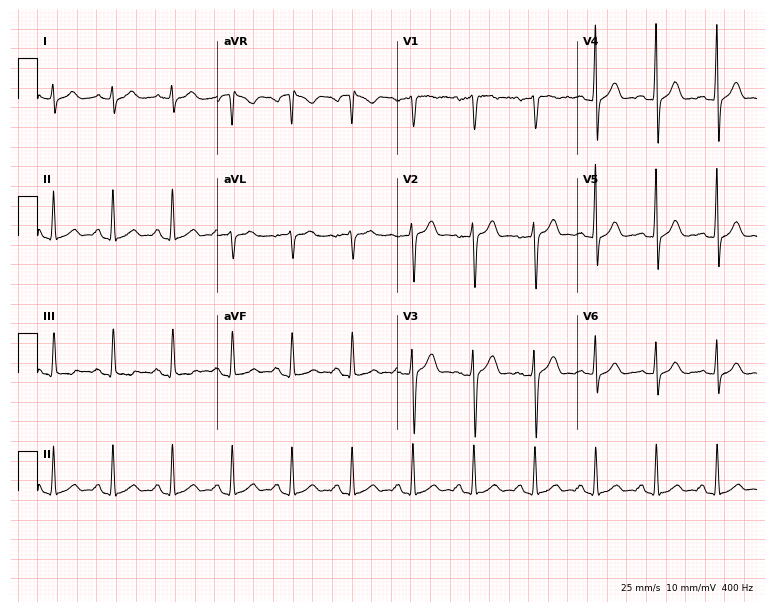
Resting 12-lead electrocardiogram. Patient: a male, 48 years old. None of these six findings is recorded: first-degree AV block, right bundle branch block, left bundle branch block, sinus bradycardia, atrial fibrillation, sinus tachycardia. Findings outside these six are not listed.